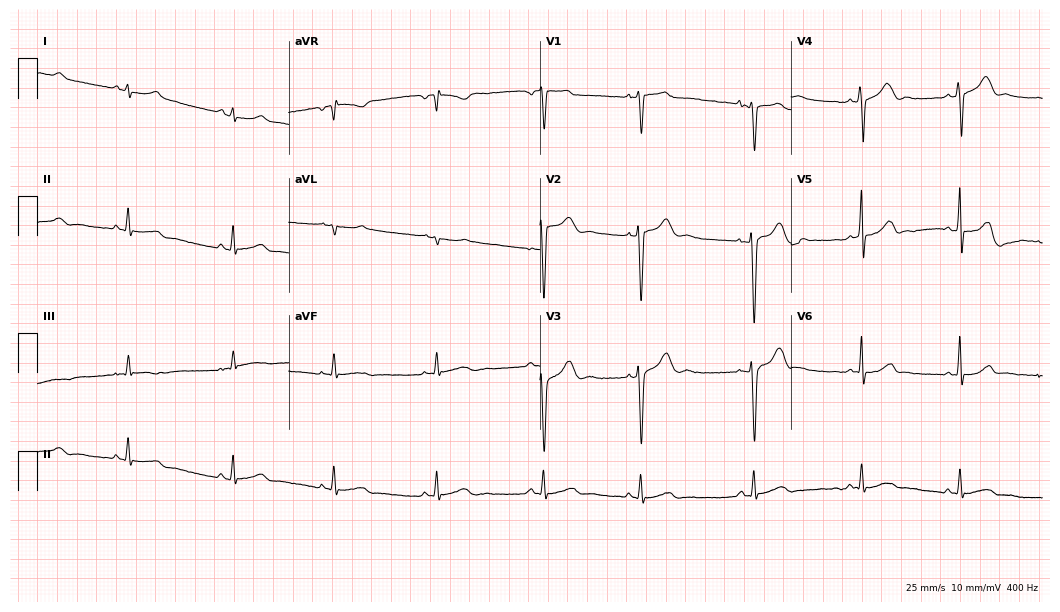
Electrocardiogram, a male patient, 32 years old. Of the six screened findings (first-degree AV block, right bundle branch block, left bundle branch block, sinus bradycardia, atrial fibrillation, sinus tachycardia), none is recorded.